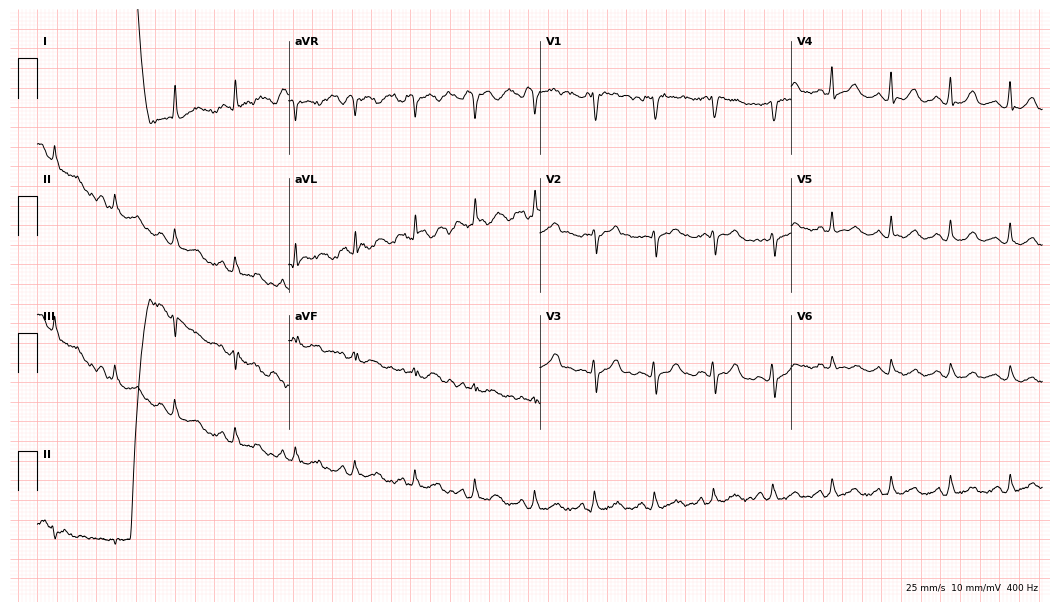
Standard 12-lead ECG recorded from a woman, 58 years old (10.2-second recording at 400 Hz). None of these six findings is recorded: first-degree AV block, right bundle branch block (RBBB), left bundle branch block (LBBB), sinus bradycardia, atrial fibrillation (AF), sinus tachycardia. Findings outside these six are not listed.